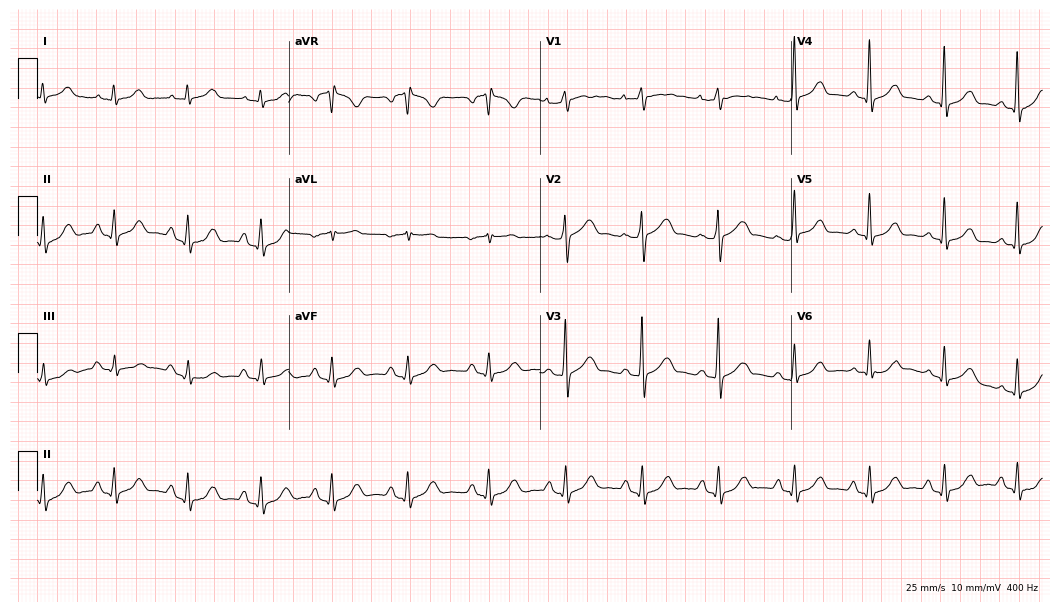
Electrocardiogram (10.2-second recording at 400 Hz), a 63-year-old female. Overall reading on record: normal ECG.